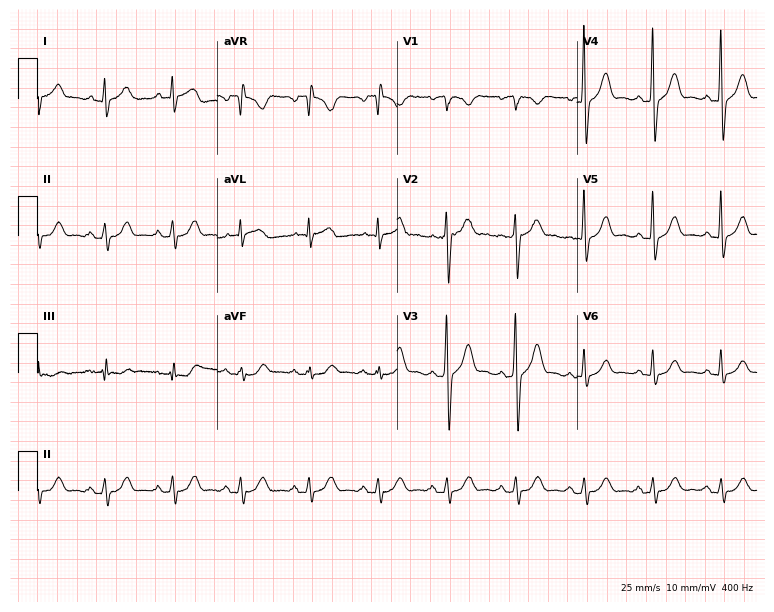
Standard 12-lead ECG recorded from a male, 52 years old. Read as a normal ECG.